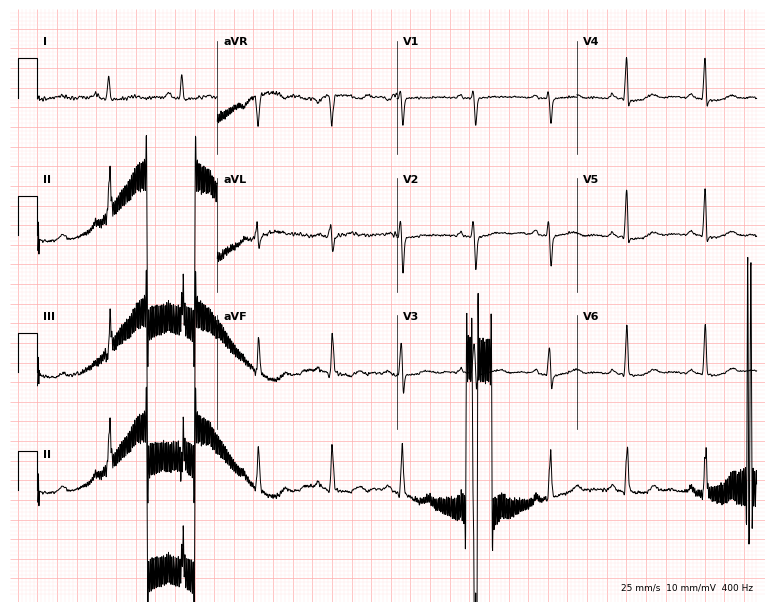
12-lead ECG from a woman, 52 years old. No first-degree AV block, right bundle branch block, left bundle branch block, sinus bradycardia, atrial fibrillation or sinus tachycardia recorded for this tracing.